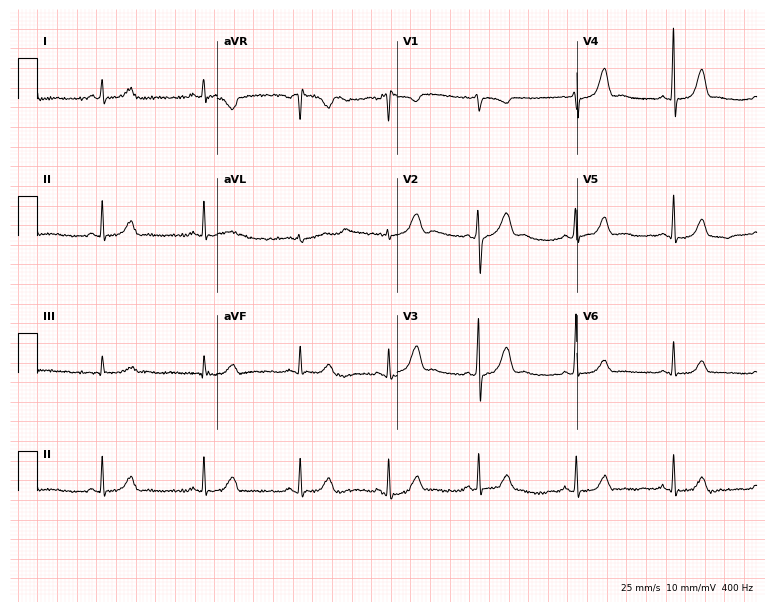
Standard 12-lead ECG recorded from a female, 21 years old (7.3-second recording at 400 Hz). None of these six findings is recorded: first-degree AV block, right bundle branch block, left bundle branch block, sinus bradycardia, atrial fibrillation, sinus tachycardia. Other findings, if any, are not listed.